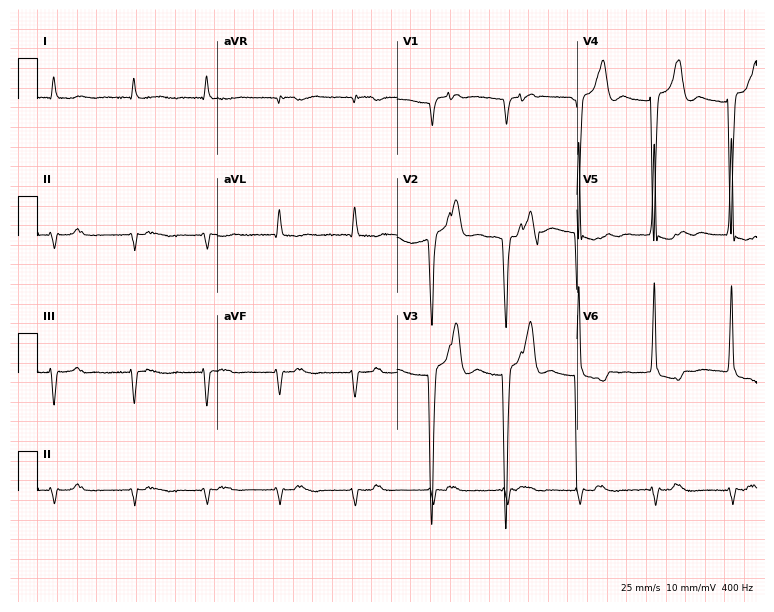
12-lead ECG (7.3-second recording at 400 Hz) from an 81-year-old male. Screened for six findings — first-degree AV block, right bundle branch block (RBBB), left bundle branch block (LBBB), sinus bradycardia, atrial fibrillation (AF), sinus tachycardia — none is recorded. Findings outside these six are not listed.